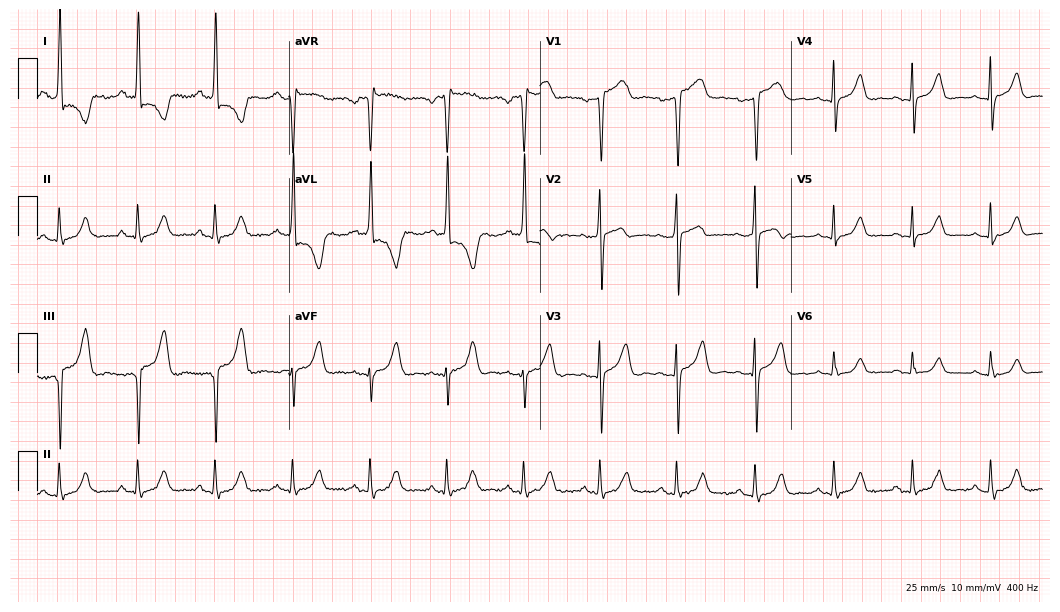
Electrocardiogram (10.2-second recording at 400 Hz), a 49-year-old female. Of the six screened findings (first-degree AV block, right bundle branch block, left bundle branch block, sinus bradycardia, atrial fibrillation, sinus tachycardia), none is recorded.